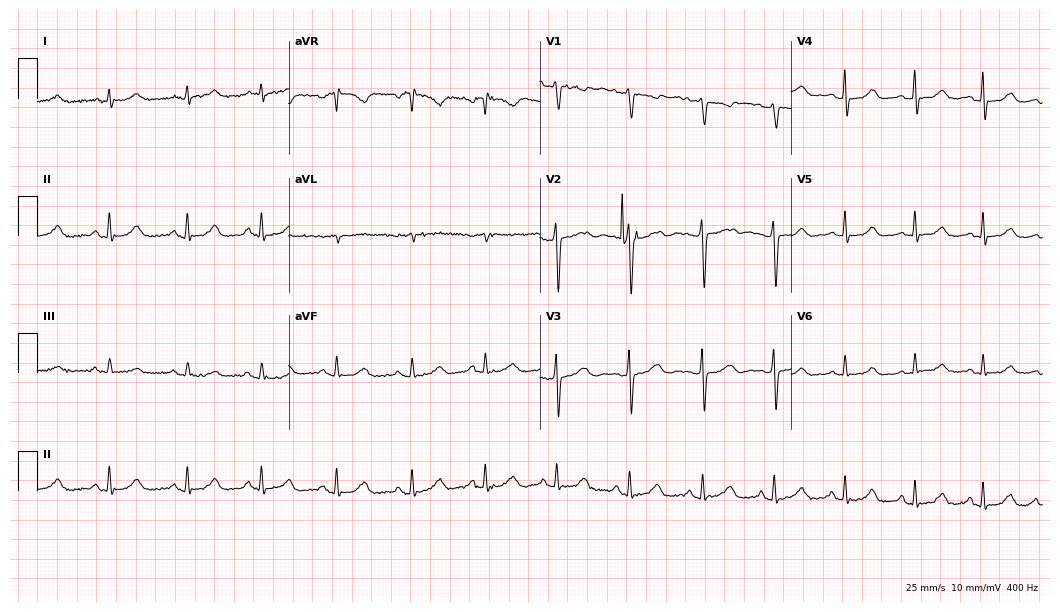
Electrocardiogram (10.2-second recording at 400 Hz), a woman, 63 years old. Of the six screened findings (first-degree AV block, right bundle branch block, left bundle branch block, sinus bradycardia, atrial fibrillation, sinus tachycardia), none is recorded. Findings outside these six are not listed.